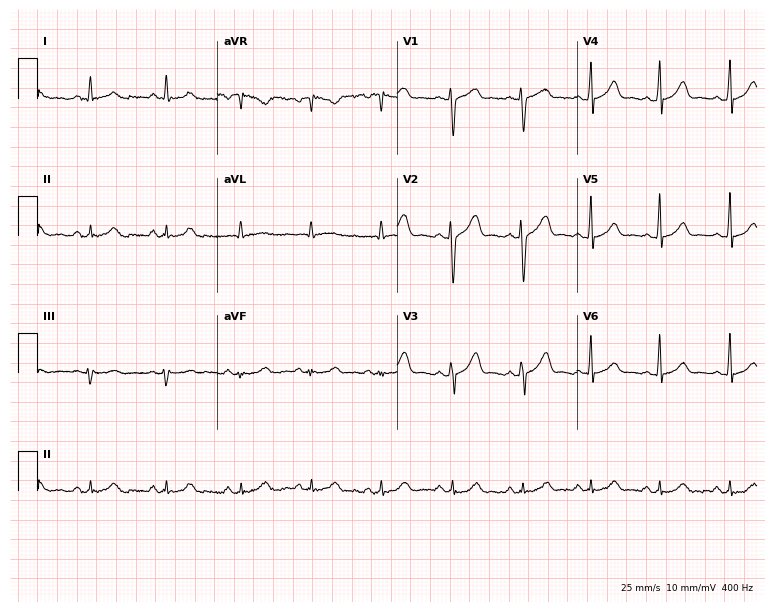
12-lead ECG (7.3-second recording at 400 Hz) from a 35-year-old female patient. Labelled as a normal ECG.